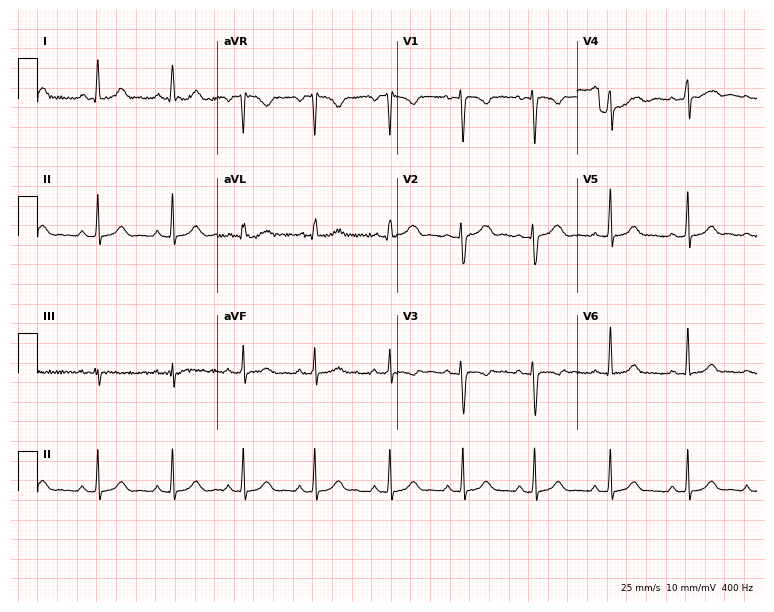
12-lead ECG from a woman, 21 years old. Screened for six findings — first-degree AV block, right bundle branch block, left bundle branch block, sinus bradycardia, atrial fibrillation, sinus tachycardia — none is recorded.